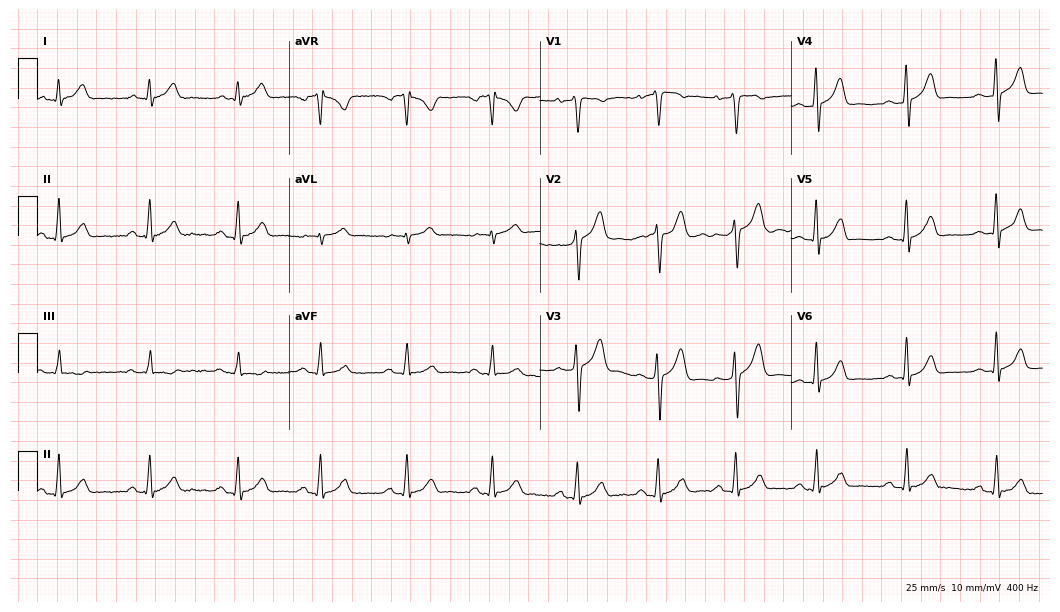
12-lead ECG from a male, 29 years old (10.2-second recording at 400 Hz). No first-degree AV block, right bundle branch block, left bundle branch block, sinus bradycardia, atrial fibrillation or sinus tachycardia recorded for this tracing. Other findings, if any, are not listed.